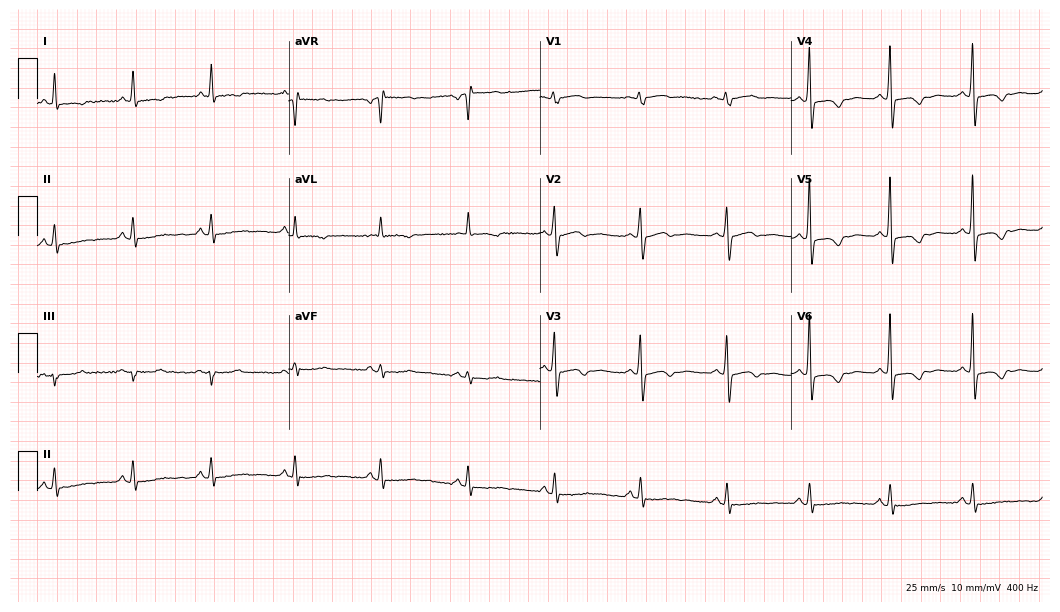
Standard 12-lead ECG recorded from a woman, 77 years old. None of these six findings is recorded: first-degree AV block, right bundle branch block (RBBB), left bundle branch block (LBBB), sinus bradycardia, atrial fibrillation (AF), sinus tachycardia. Only these six findings were labelled.